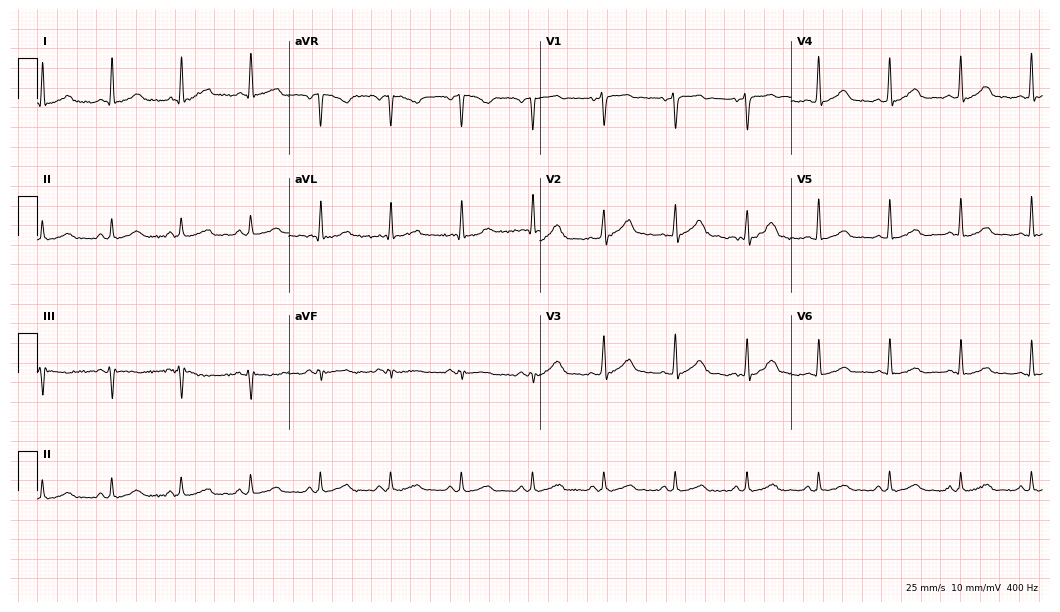
Standard 12-lead ECG recorded from a 60-year-old female patient (10.2-second recording at 400 Hz). None of these six findings is recorded: first-degree AV block, right bundle branch block (RBBB), left bundle branch block (LBBB), sinus bradycardia, atrial fibrillation (AF), sinus tachycardia.